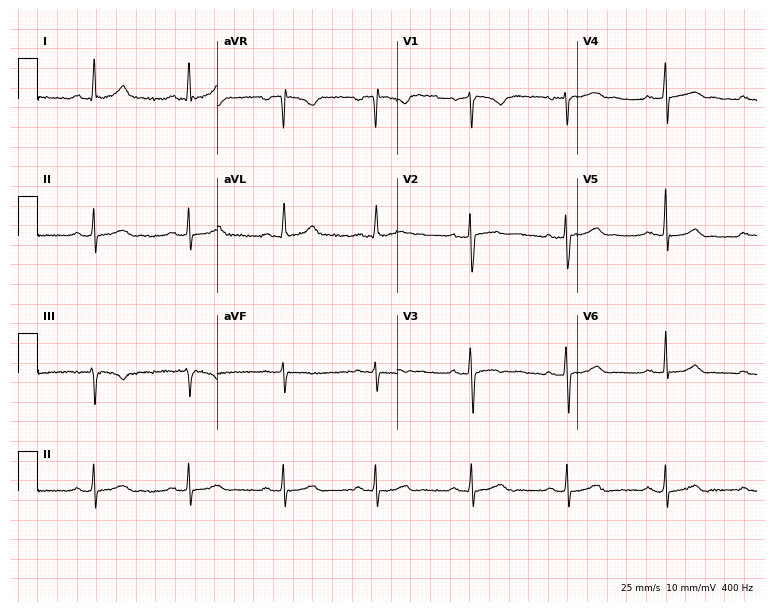
12-lead ECG from a 35-year-old man. Labelled as a normal ECG.